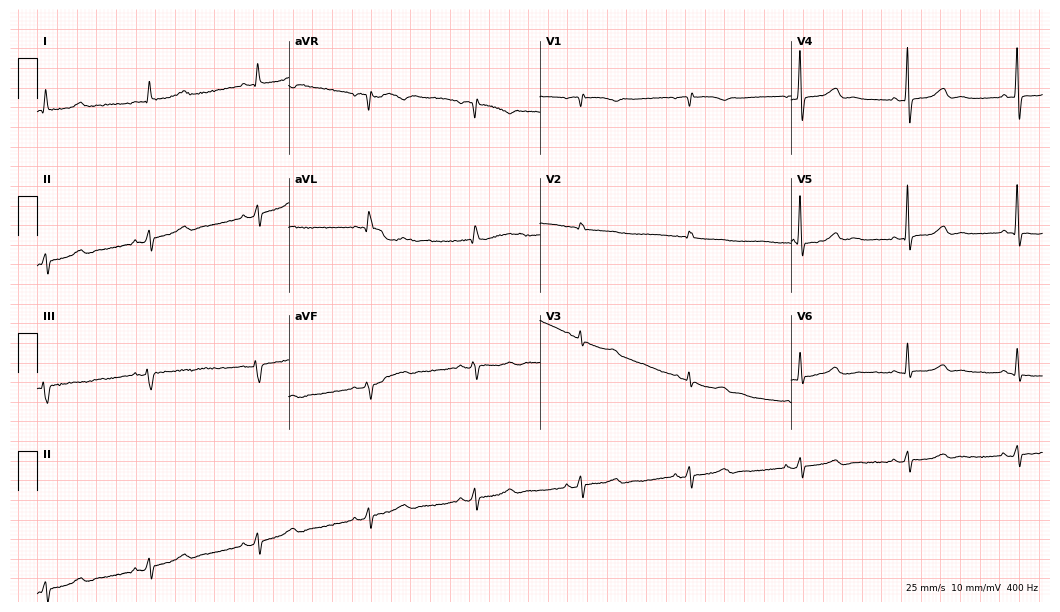
ECG — a 69-year-old woman. Screened for six findings — first-degree AV block, right bundle branch block, left bundle branch block, sinus bradycardia, atrial fibrillation, sinus tachycardia — none is recorded. Only these six findings were labelled.